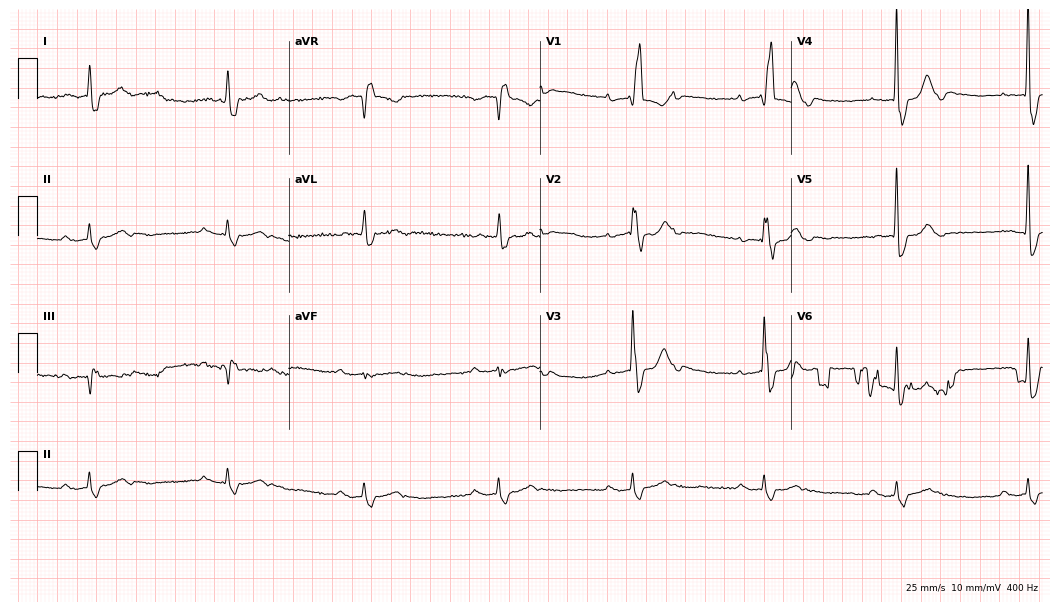
12-lead ECG from a woman, 85 years old (10.2-second recording at 400 Hz). No first-degree AV block, right bundle branch block (RBBB), left bundle branch block (LBBB), sinus bradycardia, atrial fibrillation (AF) or sinus tachycardia recorded for this tracing.